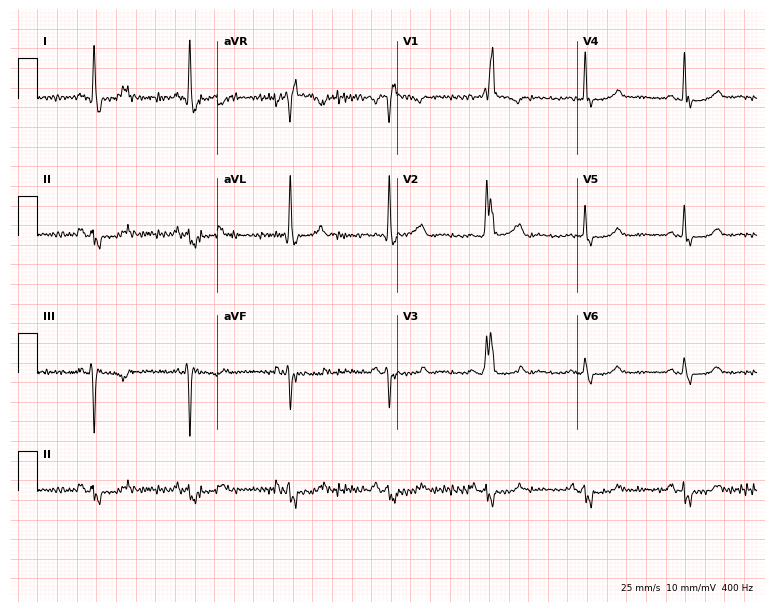
12-lead ECG from a female, 73 years old (7.3-second recording at 400 Hz). Shows right bundle branch block (RBBB).